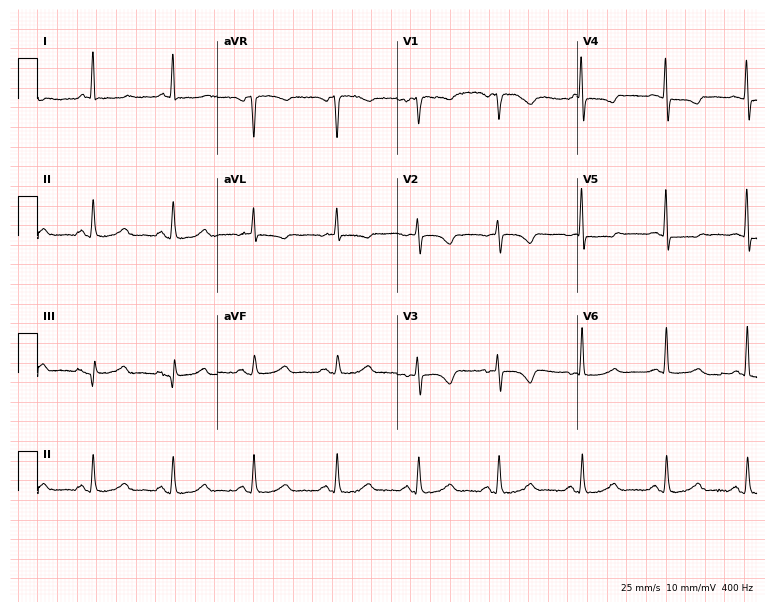
ECG — a female patient, 72 years old. Screened for six findings — first-degree AV block, right bundle branch block, left bundle branch block, sinus bradycardia, atrial fibrillation, sinus tachycardia — none is recorded.